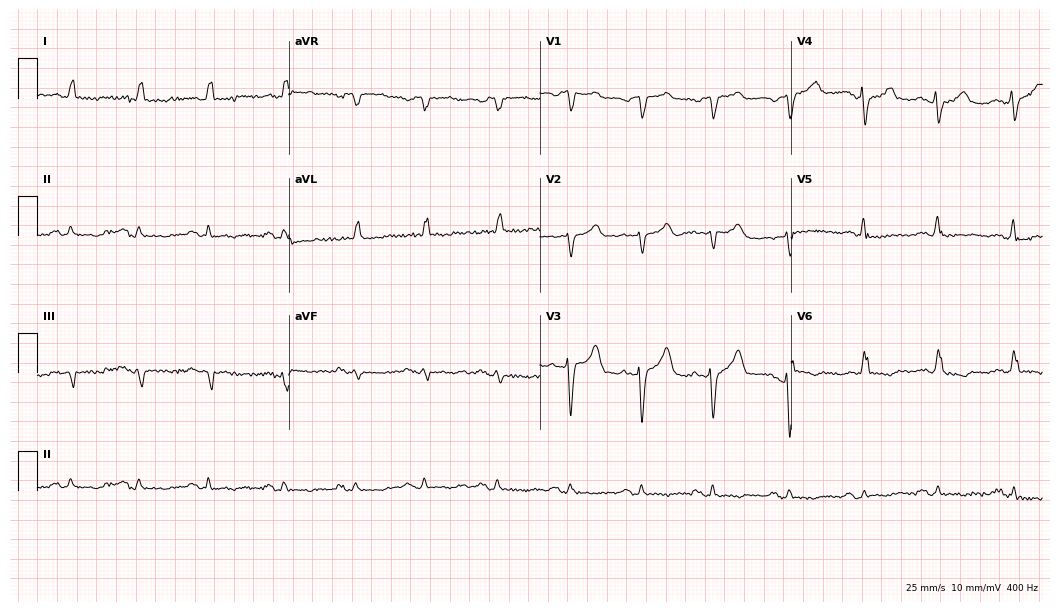
12-lead ECG (10.2-second recording at 400 Hz) from a 66-year-old male. Findings include left bundle branch block.